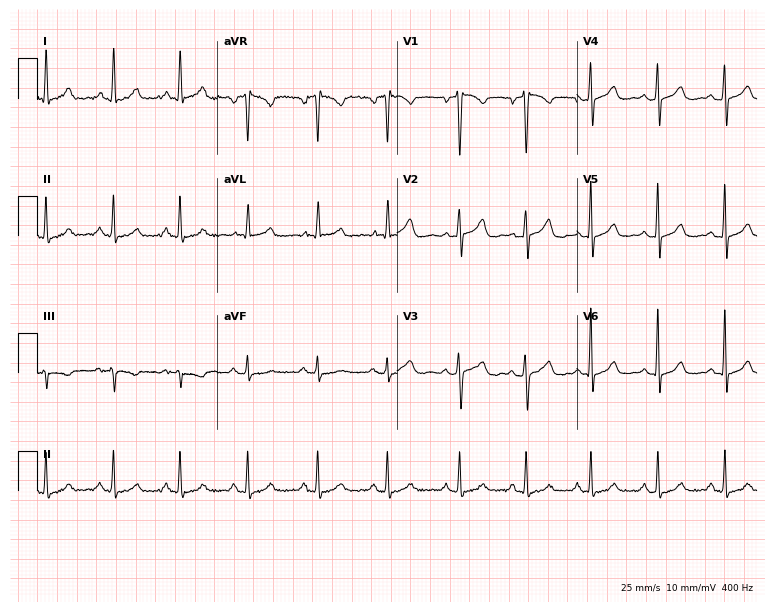
12-lead ECG (7.3-second recording at 400 Hz) from a woman, 42 years old. Labelled as a normal ECG.